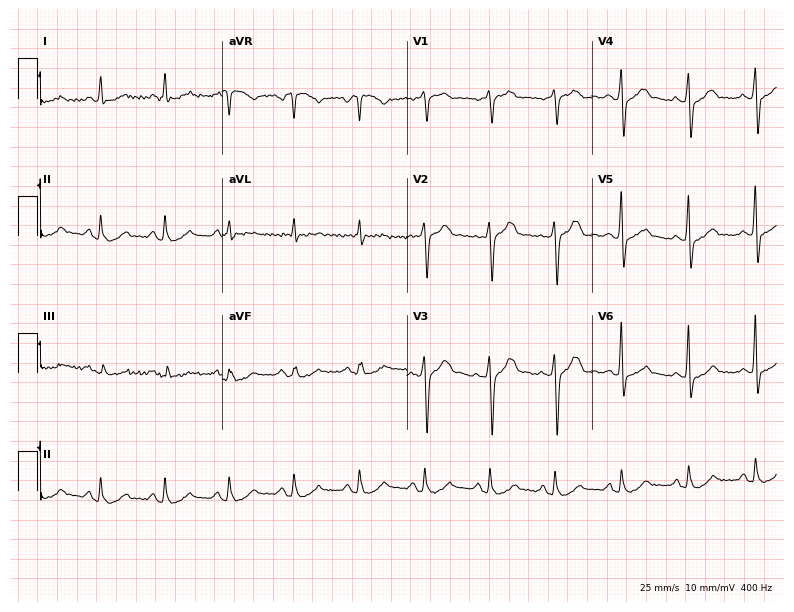
12-lead ECG from a 56-year-old male. Labelled as a normal ECG.